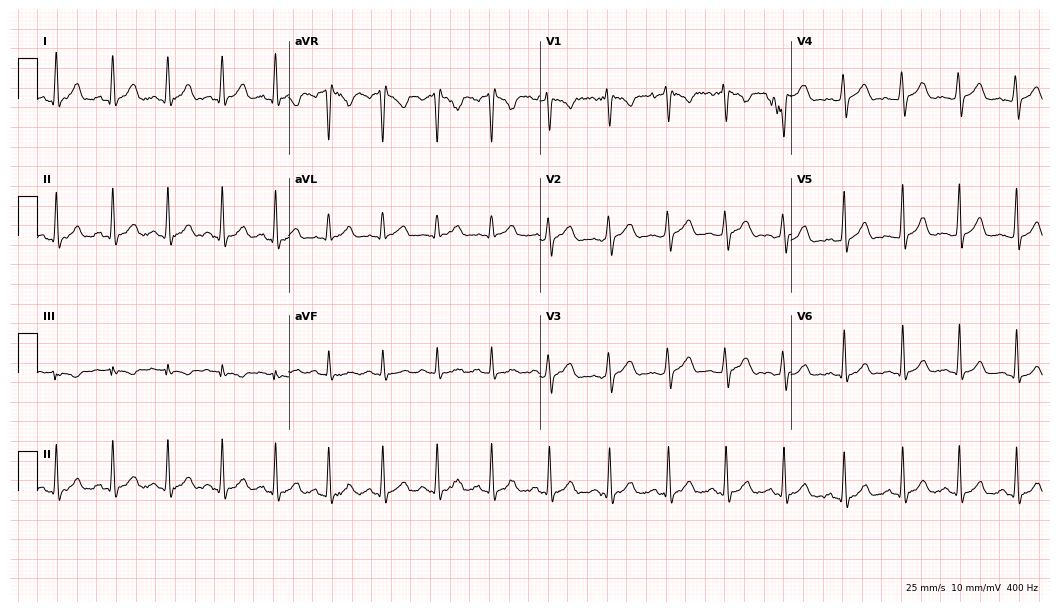
12-lead ECG (10.2-second recording at 400 Hz) from a woman, 27 years old. Labelled as a normal ECG.